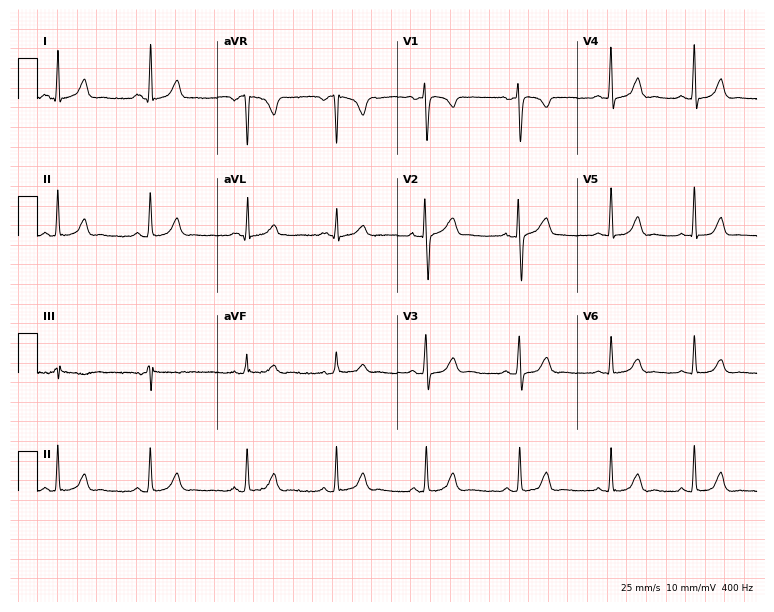
12-lead ECG from a woman, 43 years old. Labelled as a normal ECG.